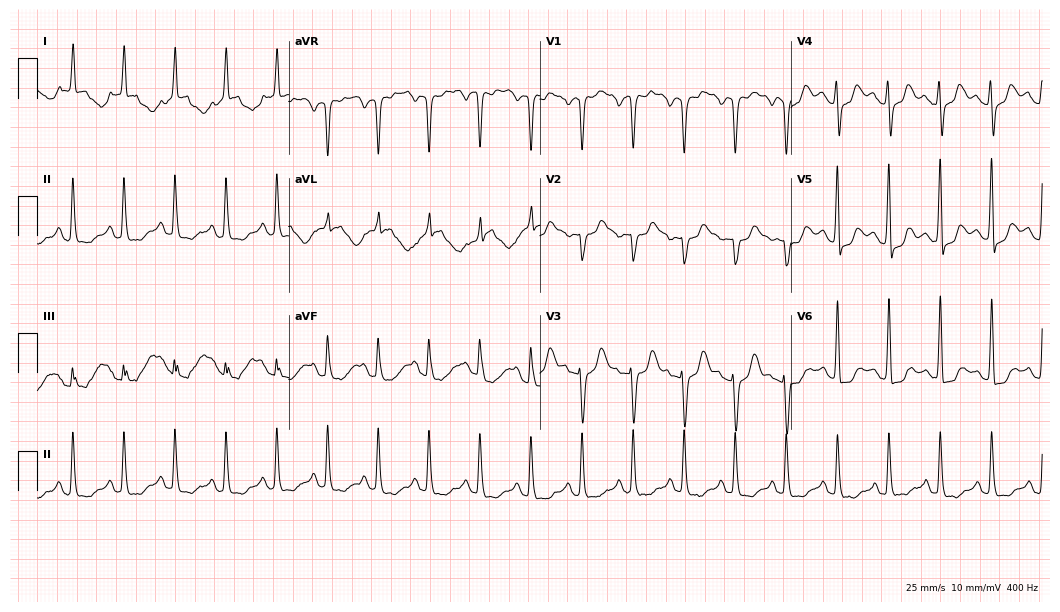
ECG (10.2-second recording at 400 Hz) — a female patient, 67 years old. Screened for six findings — first-degree AV block, right bundle branch block, left bundle branch block, sinus bradycardia, atrial fibrillation, sinus tachycardia — none is recorded.